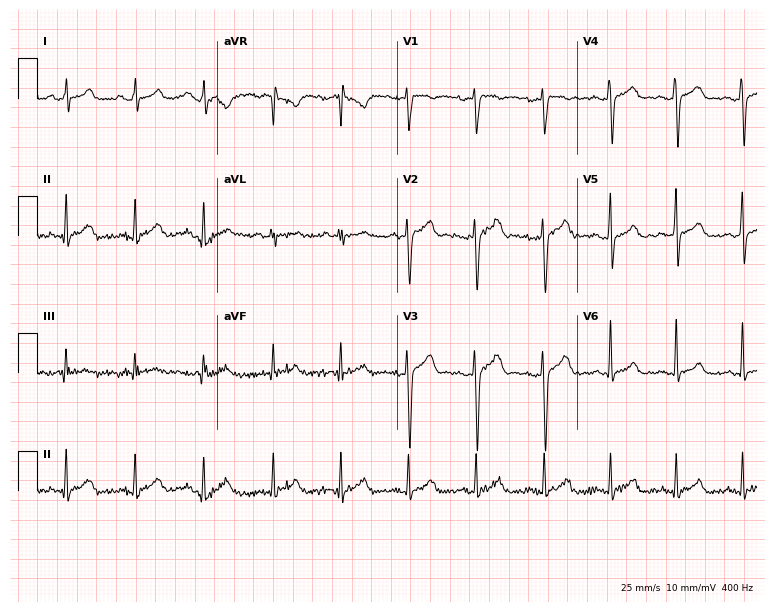
ECG — a 26-year-old man. Labelled as a normal ECG.